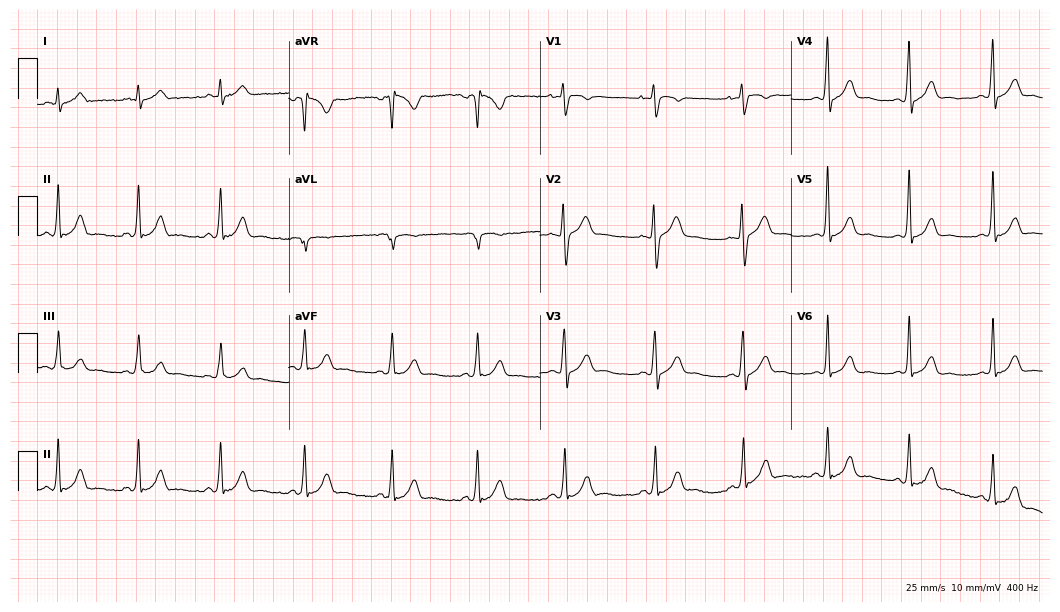
12-lead ECG (10.2-second recording at 400 Hz) from a male, 37 years old. Labelled as a normal ECG.